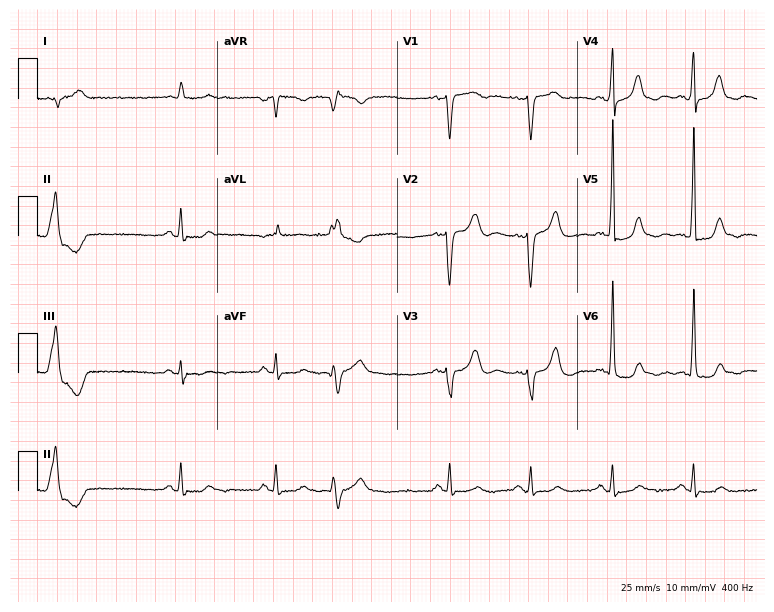
12-lead ECG from a male patient, 75 years old (7.3-second recording at 400 Hz). No first-degree AV block, right bundle branch block, left bundle branch block, sinus bradycardia, atrial fibrillation or sinus tachycardia recorded for this tracing.